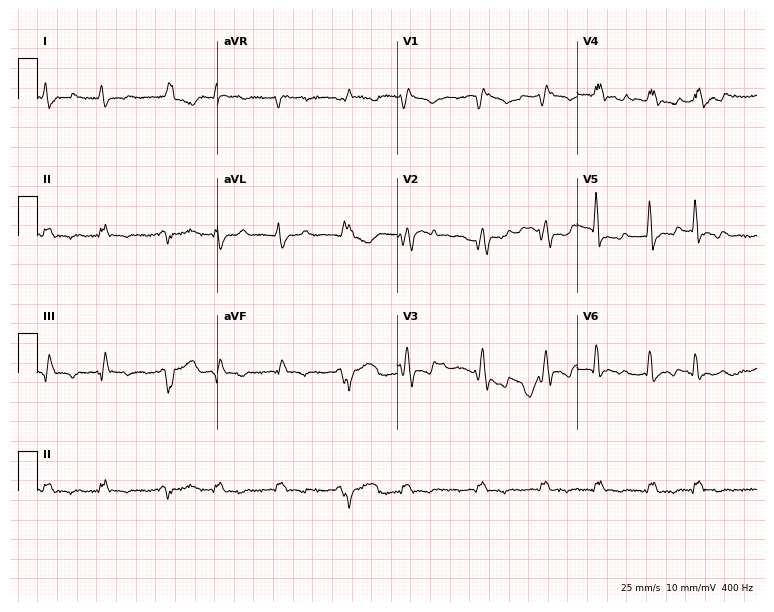
12-lead ECG from an 80-year-old male. Screened for six findings — first-degree AV block, right bundle branch block, left bundle branch block, sinus bradycardia, atrial fibrillation, sinus tachycardia — none is recorded.